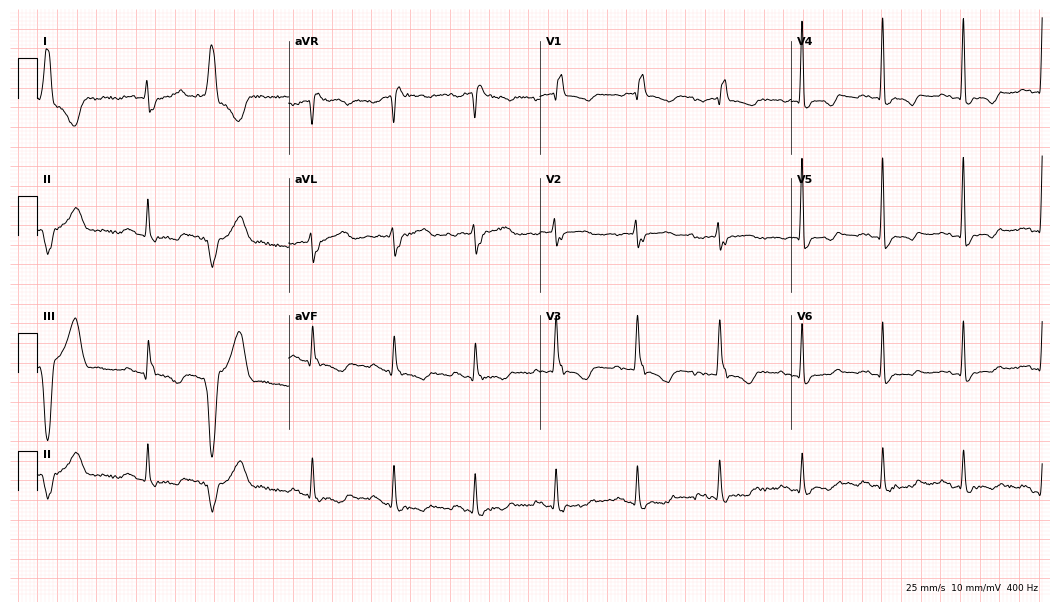
Electrocardiogram, a 73-year-old man. Interpretation includes right bundle branch block.